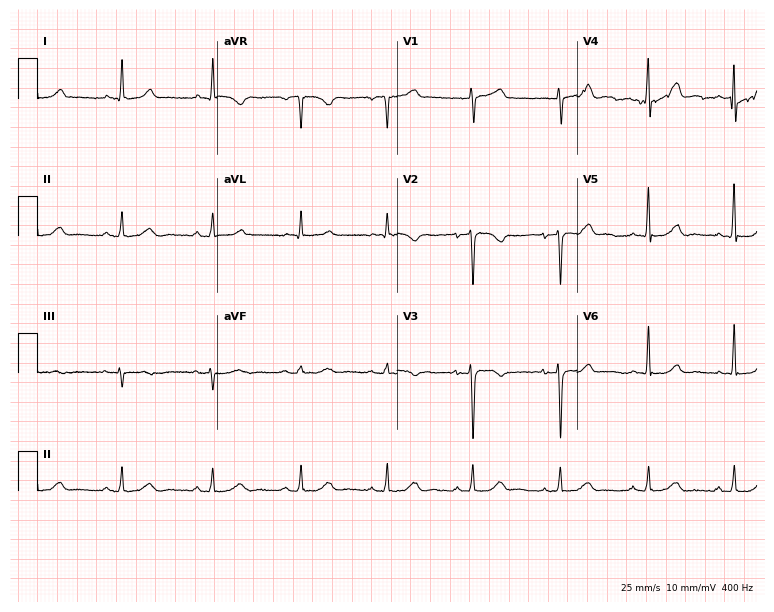
Electrocardiogram (7.3-second recording at 400 Hz), a 55-year-old woman. Overall reading on record: normal ECG.